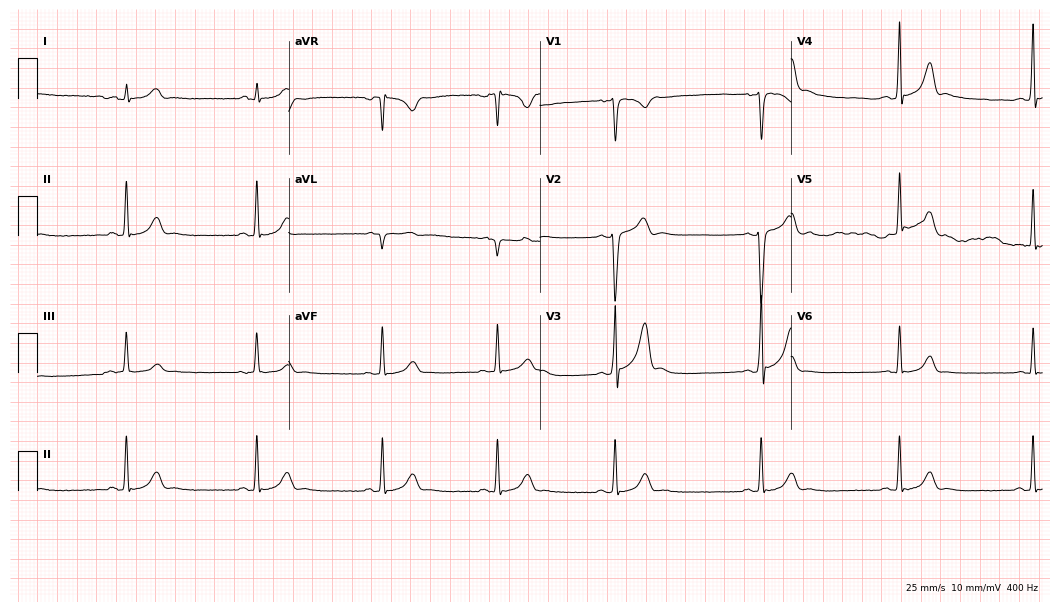
Resting 12-lead electrocardiogram (10.2-second recording at 400 Hz). Patient: a 24-year-old man. The tracing shows sinus bradycardia (a sinus rate of 50 beats per minute or less).